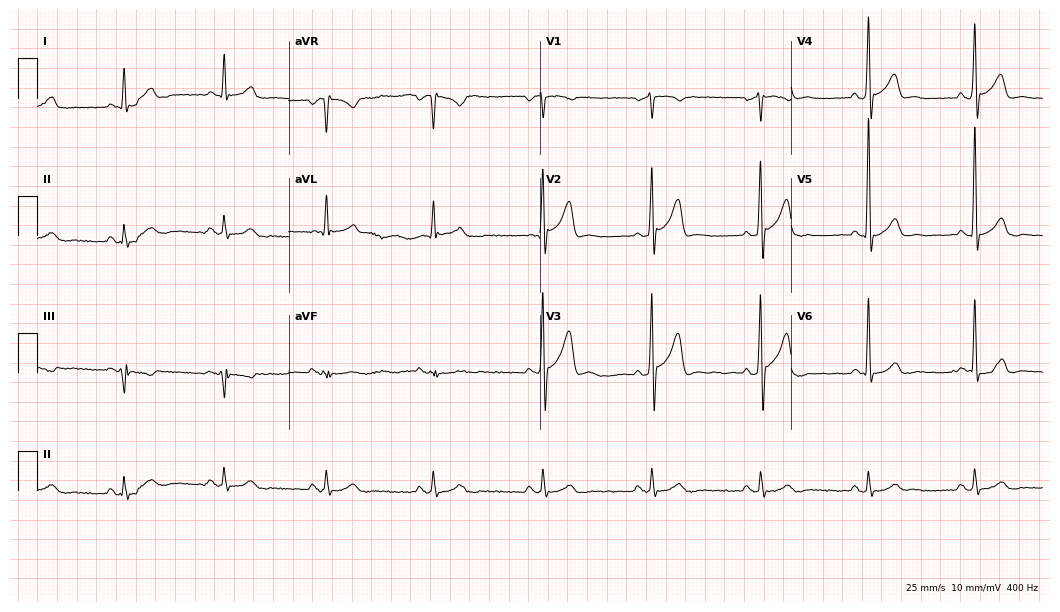
Electrocardiogram (10.2-second recording at 400 Hz), a male, 61 years old. Overall reading on record: normal ECG.